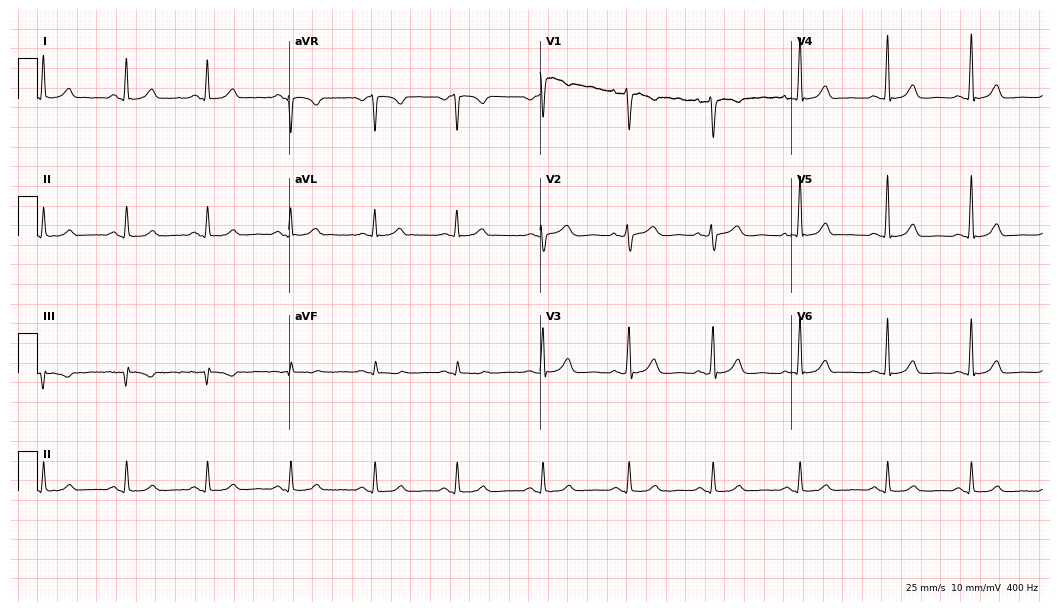
12-lead ECG from a 61-year-old woman. Recorded interpretation: within normal limits.